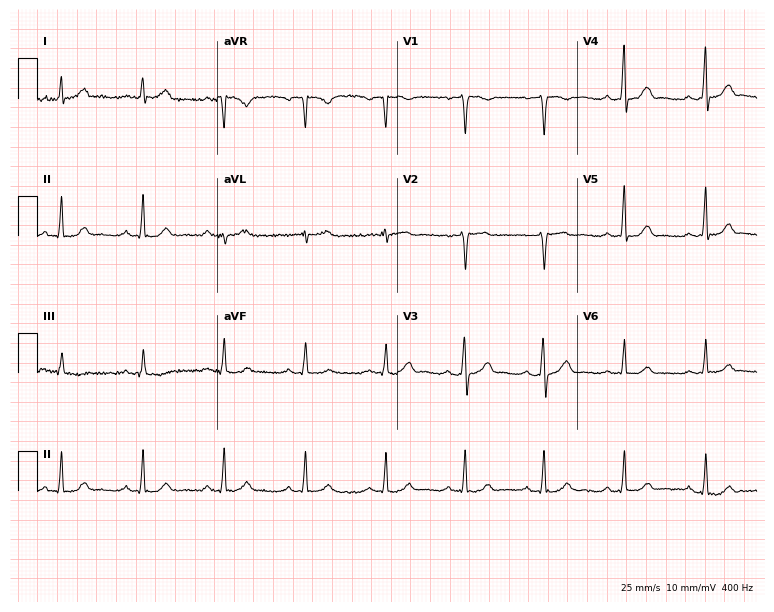
Resting 12-lead electrocardiogram. Patient: a 38-year-old woman. Read as a normal ECG.